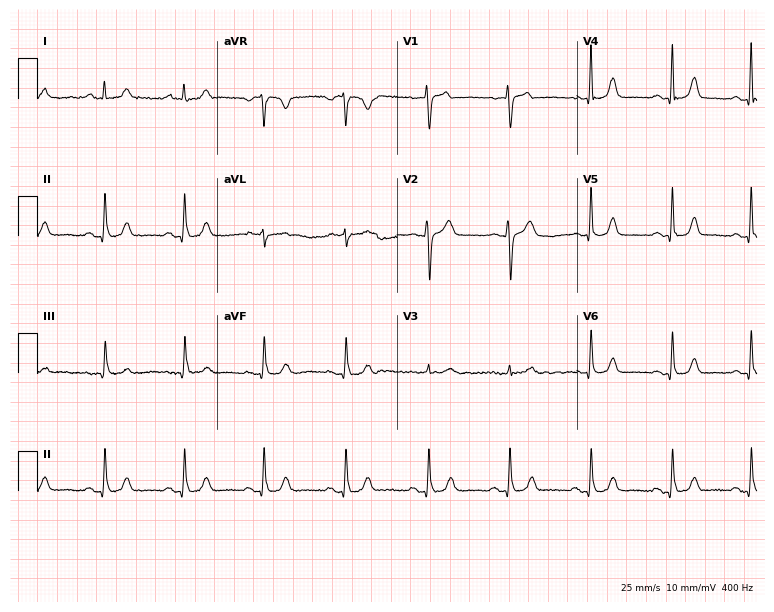
12-lead ECG from a 44-year-old female. Labelled as a normal ECG.